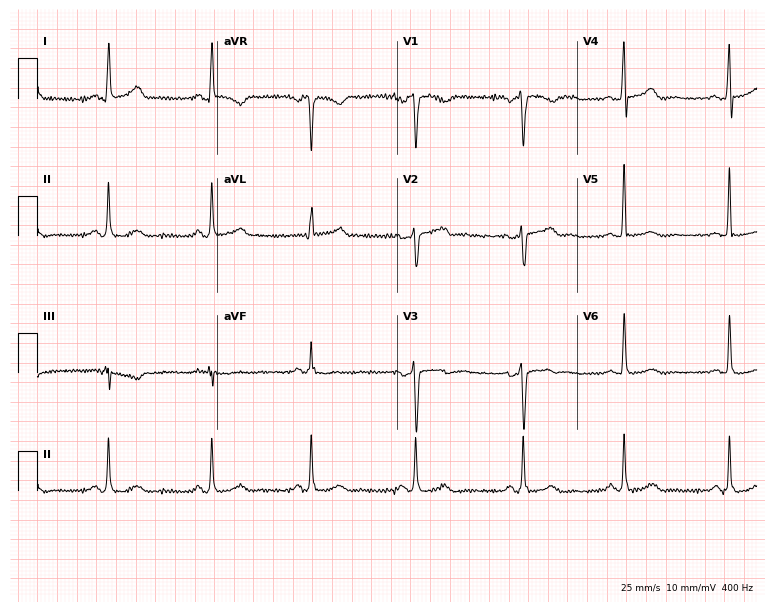
12-lead ECG (7.3-second recording at 400 Hz) from a 53-year-old female patient. Labelled as a normal ECG.